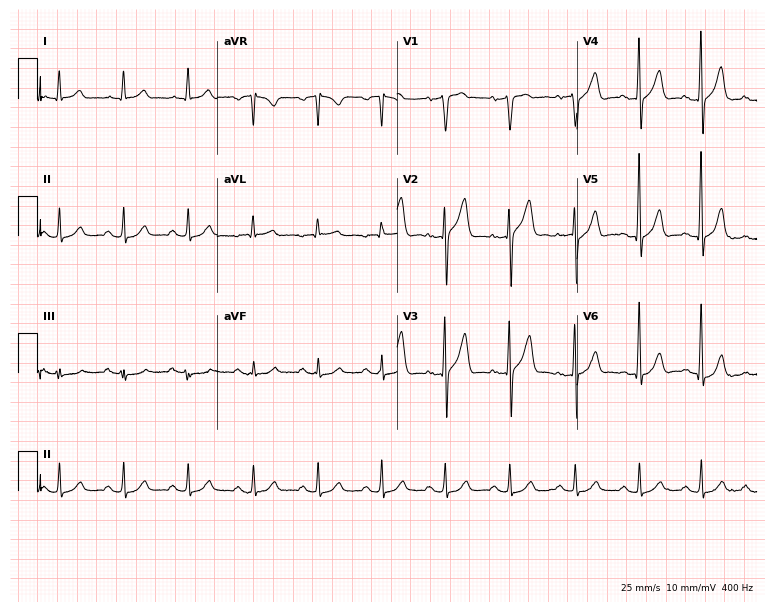
Electrocardiogram (7.3-second recording at 400 Hz), a male patient, 58 years old. Of the six screened findings (first-degree AV block, right bundle branch block, left bundle branch block, sinus bradycardia, atrial fibrillation, sinus tachycardia), none is recorded. Other findings, if any, are not listed.